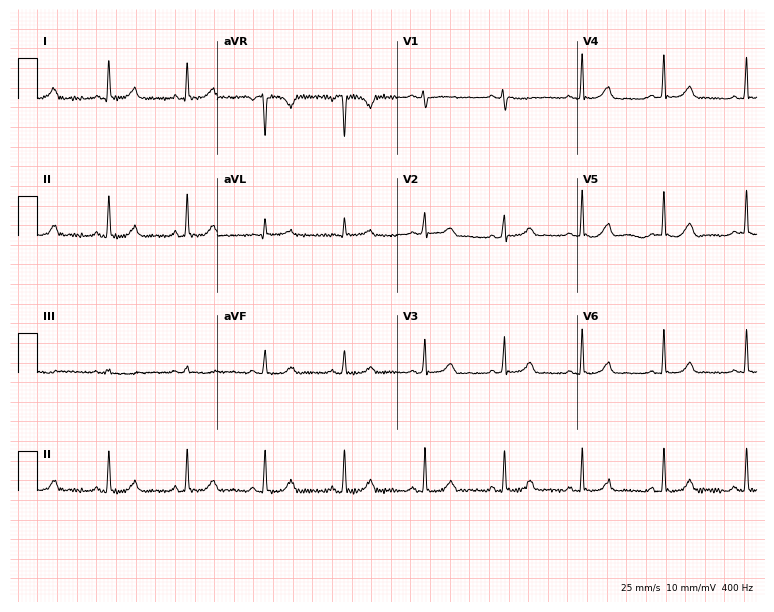
Resting 12-lead electrocardiogram (7.3-second recording at 400 Hz). Patient: a 33-year-old female. Read as a normal ECG.